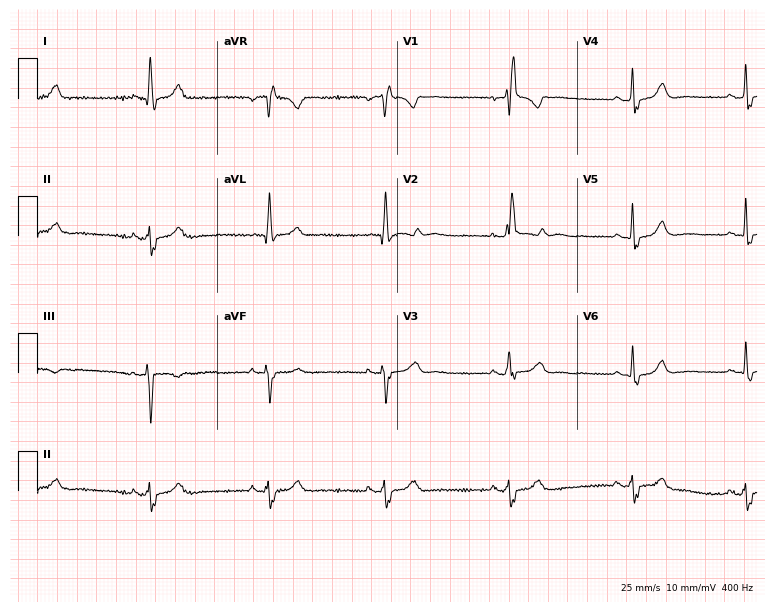
Electrocardiogram, a female, 54 years old. Interpretation includes right bundle branch block, sinus bradycardia (a sinus rate of 50 beats per minute or less).